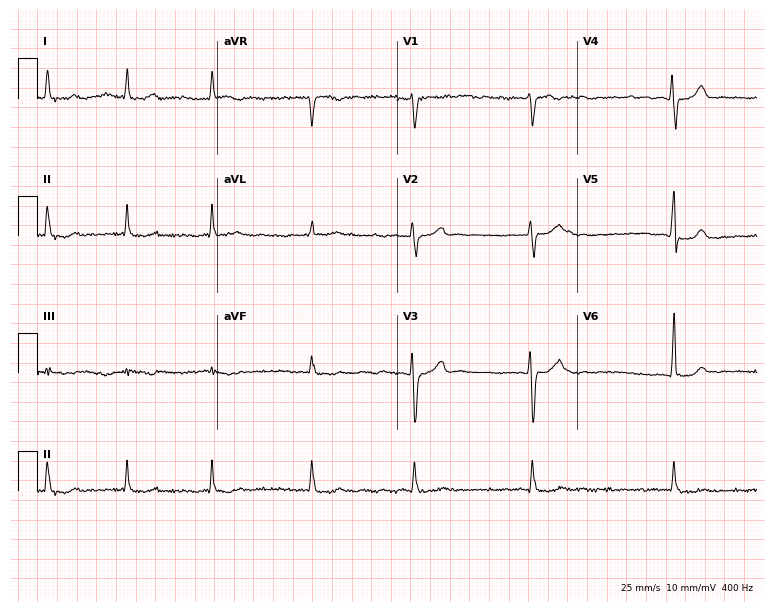
12-lead ECG from a male patient, 68 years old (7.3-second recording at 400 Hz). No first-degree AV block, right bundle branch block (RBBB), left bundle branch block (LBBB), sinus bradycardia, atrial fibrillation (AF) or sinus tachycardia recorded for this tracing. Only these six findings were labelled.